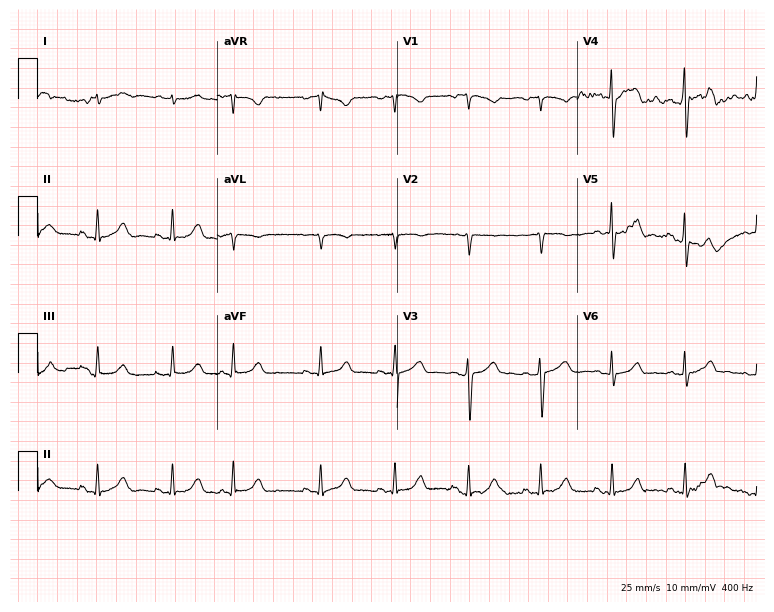
ECG — a male patient, 69 years old. Screened for six findings — first-degree AV block, right bundle branch block (RBBB), left bundle branch block (LBBB), sinus bradycardia, atrial fibrillation (AF), sinus tachycardia — none is recorded.